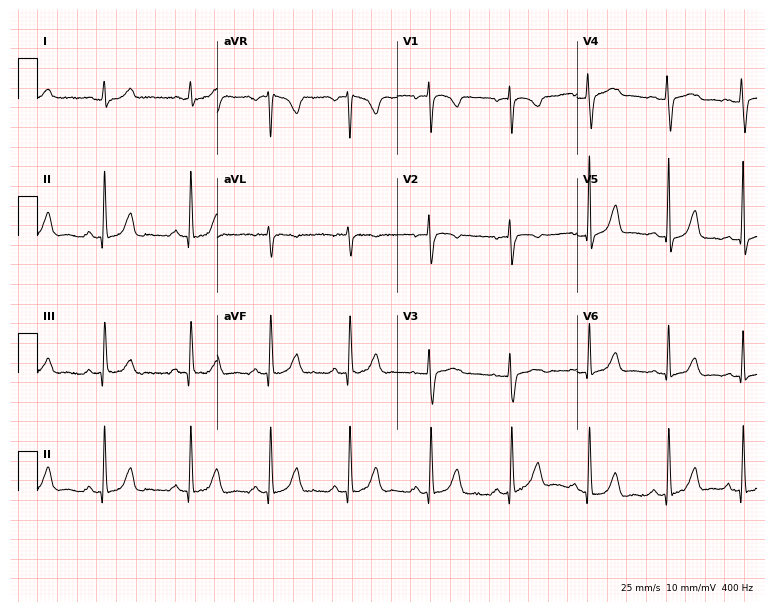
ECG (7.3-second recording at 400 Hz) — a woman, 32 years old. Screened for six findings — first-degree AV block, right bundle branch block, left bundle branch block, sinus bradycardia, atrial fibrillation, sinus tachycardia — none is recorded. Only these six findings were labelled.